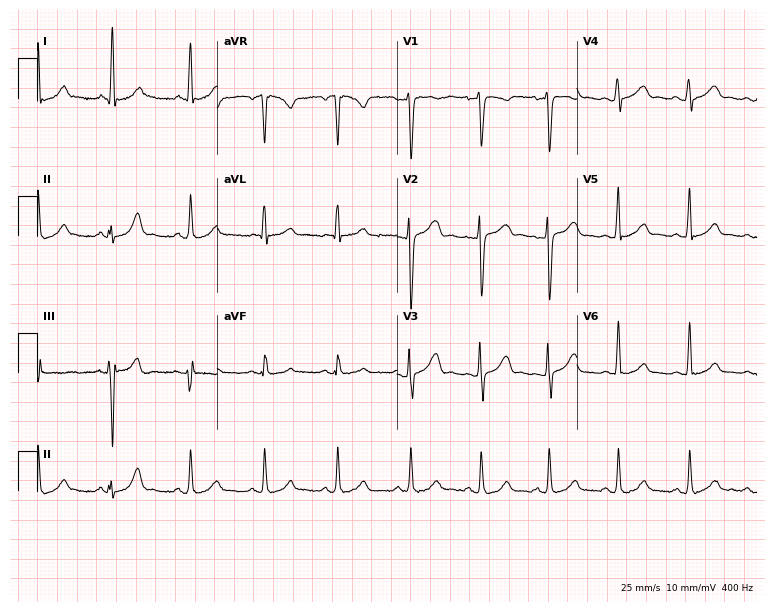
Electrocardiogram, a man, 23 years old. Overall reading on record: normal ECG.